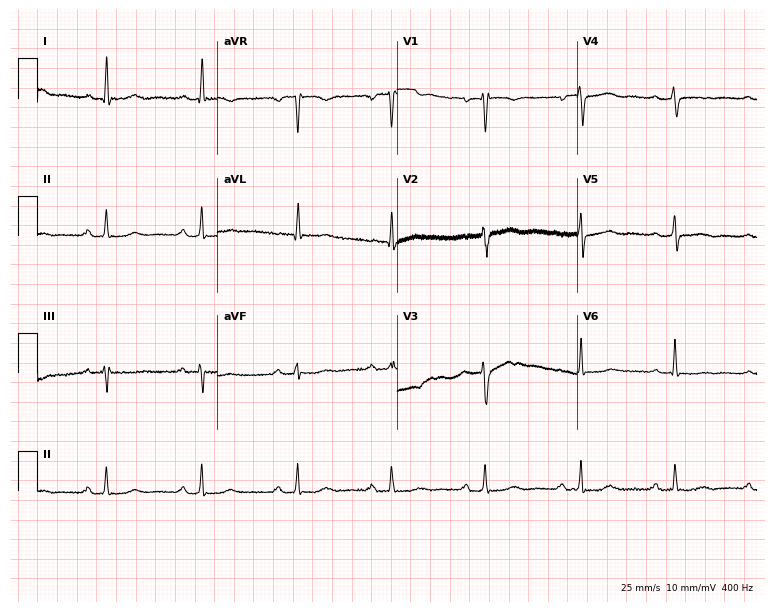
12-lead ECG from a 67-year-old woman. No first-degree AV block, right bundle branch block, left bundle branch block, sinus bradycardia, atrial fibrillation or sinus tachycardia recorded for this tracing. Other findings, if any, are not listed.